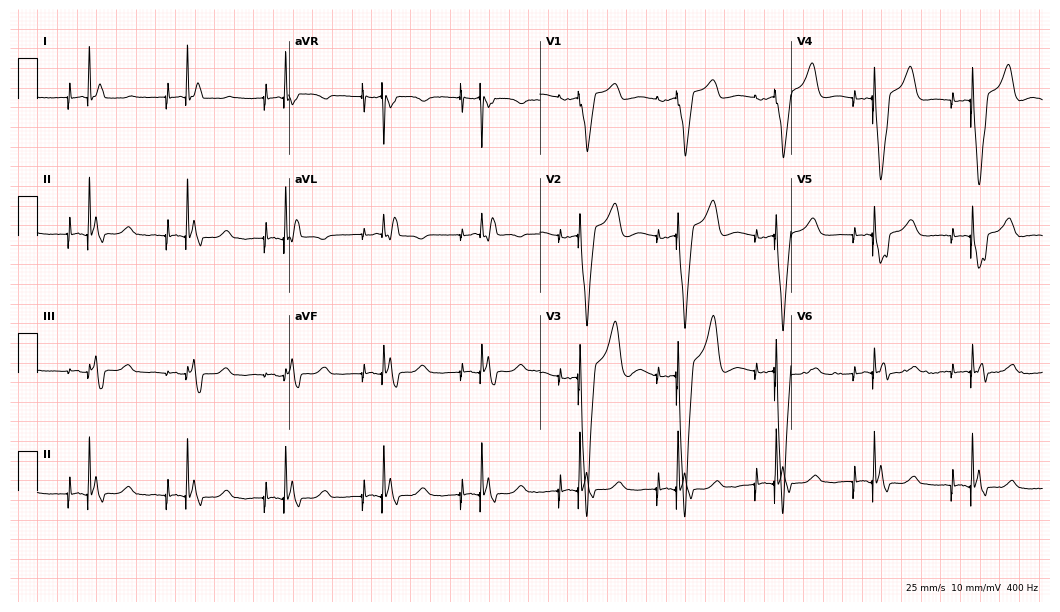
ECG (10.2-second recording at 400 Hz) — a 75-year-old male. Screened for six findings — first-degree AV block, right bundle branch block (RBBB), left bundle branch block (LBBB), sinus bradycardia, atrial fibrillation (AF), sinus tachycardia — none is recorded.